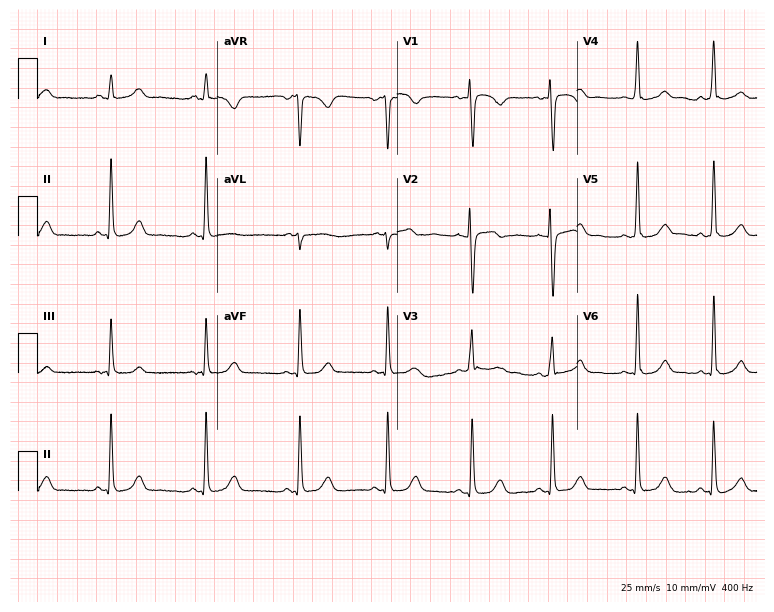
ECG — a female patient, 20 years old. Screened for six findings — first-degree AV block, right bundle branch block (RBBB), left bundle branch block (LBBB), sinus bradycardia, atrial fibrillation (AF), sinus tachycardia — none is recorded. Findings outside these six are not listed.